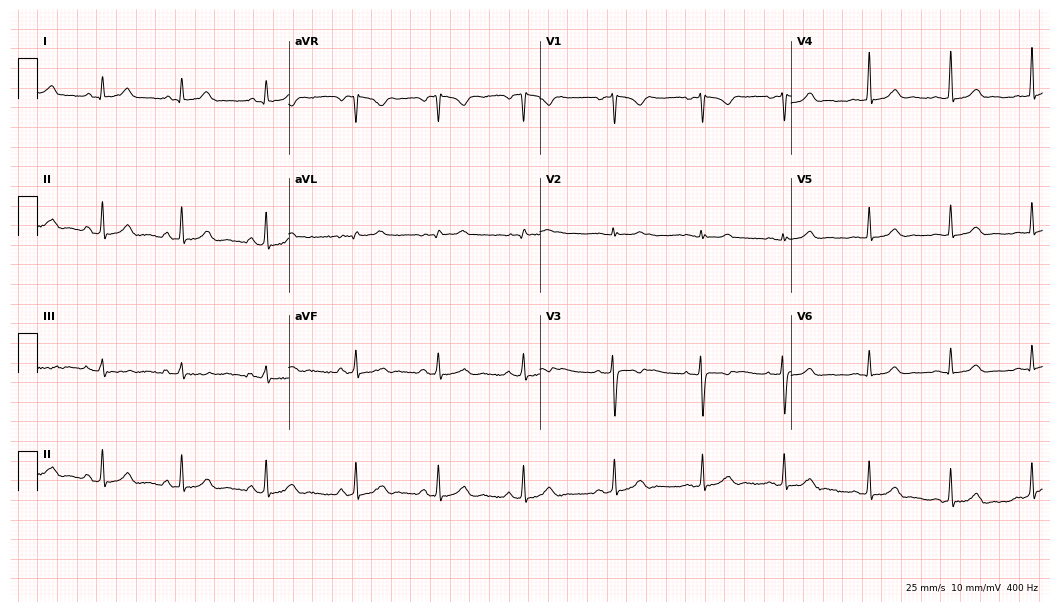
Electrocardiogram, a female patient, 31 years old. Overall reading on record: normal ECG.